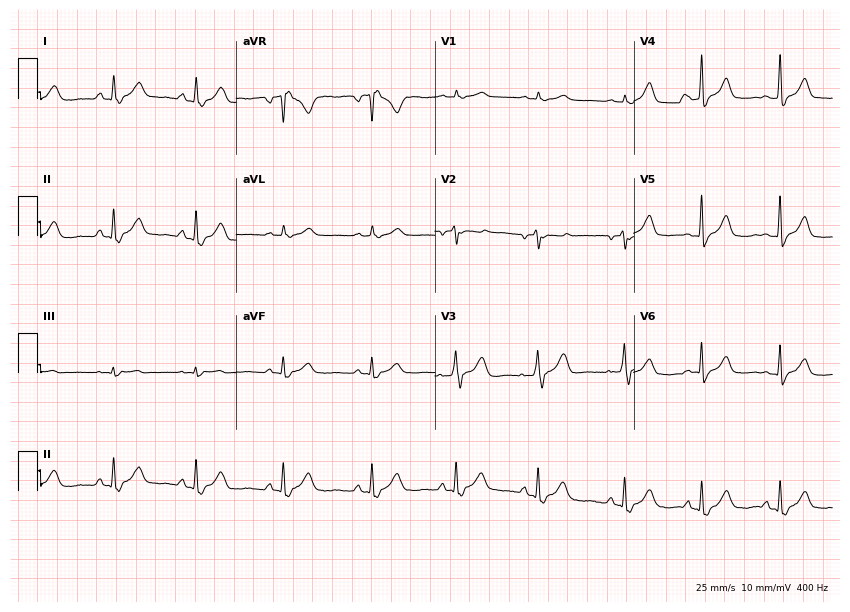
Electrocardiogram, a 42-year-old female patient. Of the six screened findings (first-degree AV block, right bundle branch block, left bundle branch block, sinus bradycardia, atrial fibrillation, sinus tachycardia), none is recorded. Findings outside these six are not listed.